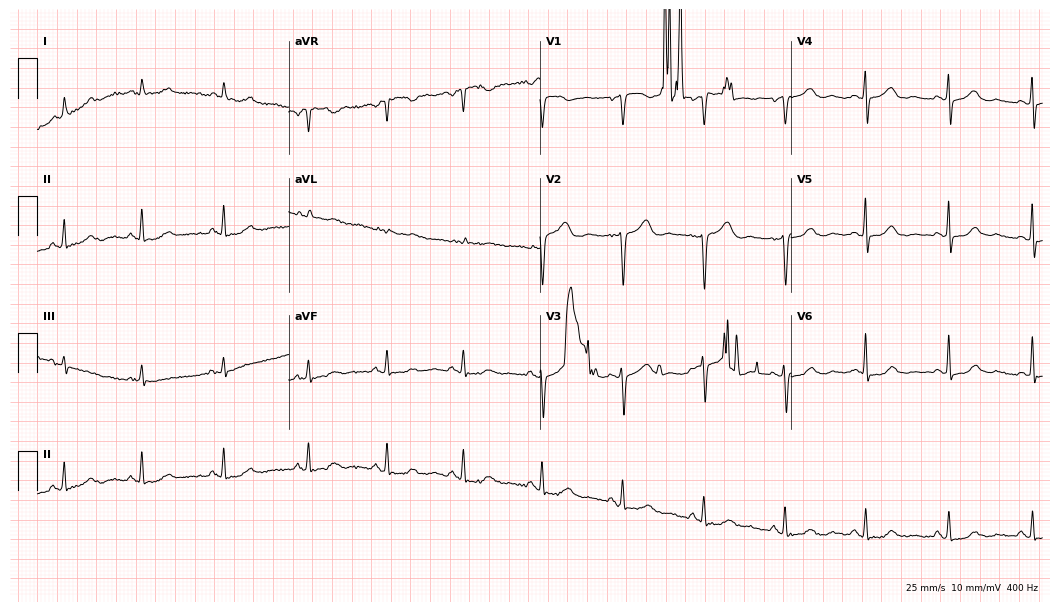
Standard 12-lead ECG recorded from a female, 54 years old (10.2-second recording at 400 Hz). None of these six findings is recorded: first-degree AV block, right bundle branch block, left bundle branch block, sinus bradycardia, atrial fibrillation, sinus tachycardia.